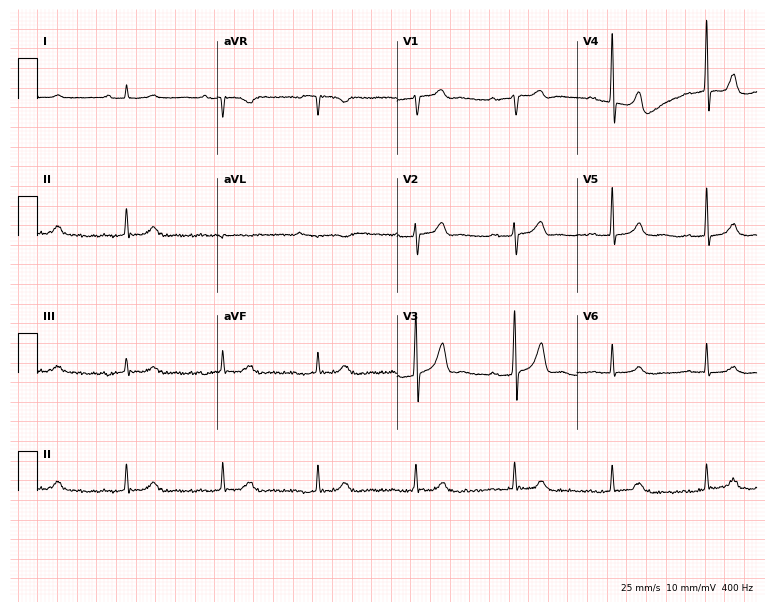
12-lead ECG (7.3-second recording at 400 Hz) from a man, 81 years old. Labelled as a normal ECG.